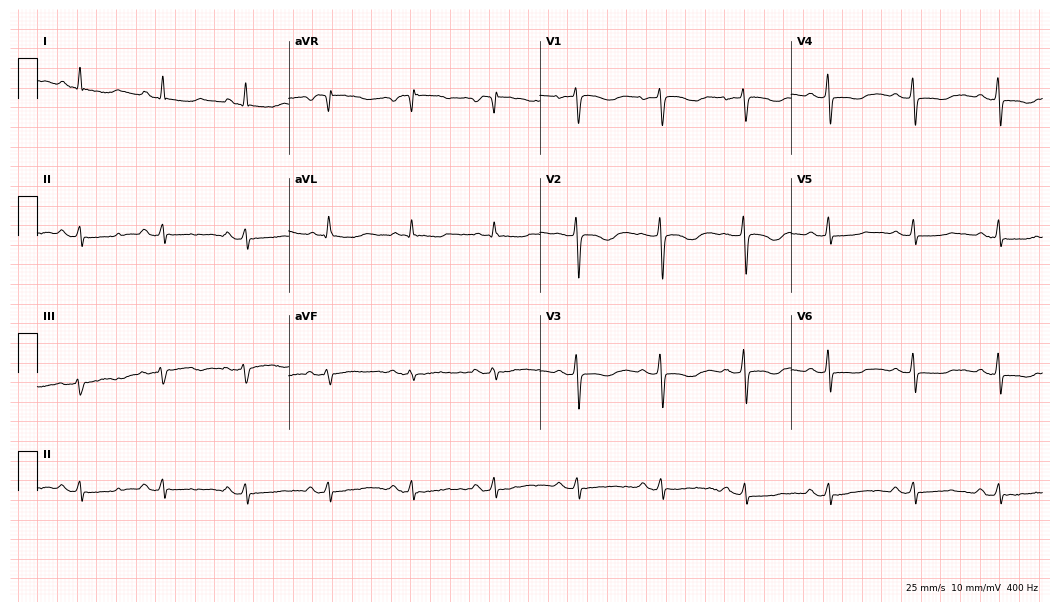
Resting 12-lead electrocardiogram. Patient: a woman, 57 years old. None of these six findings is recorded: first-degree AV block, right bundle branch block, left bundle branch block, sinus bradycardia, atrial fibrillation, sinus tachycardia. Only these six findings were labelled.